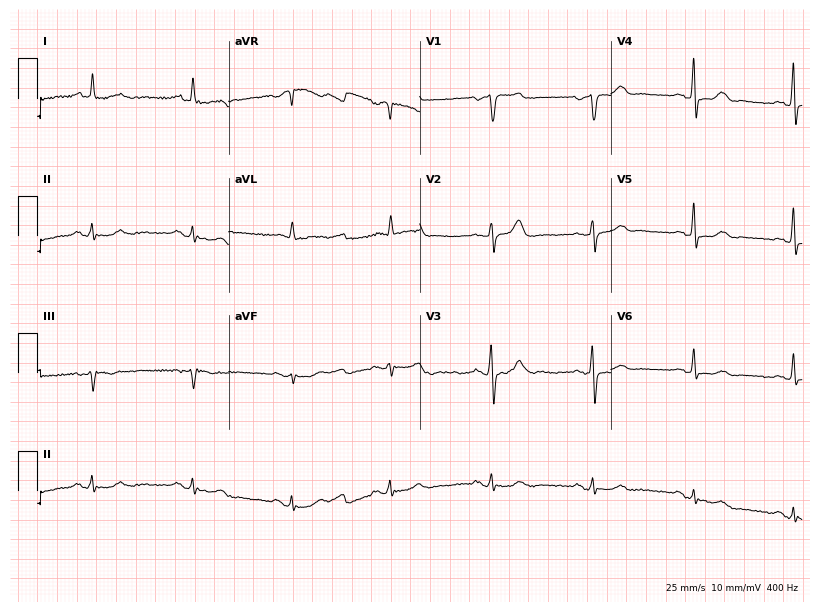
12-lead ECG from a 74-year-old male patient. No first-degree AV block, right bundle branch block, left bundle branch block, sinus bradycardia, atrial fibrillation or sinus tachycardia recorded for this tracing. Findings outside these six are not listed.